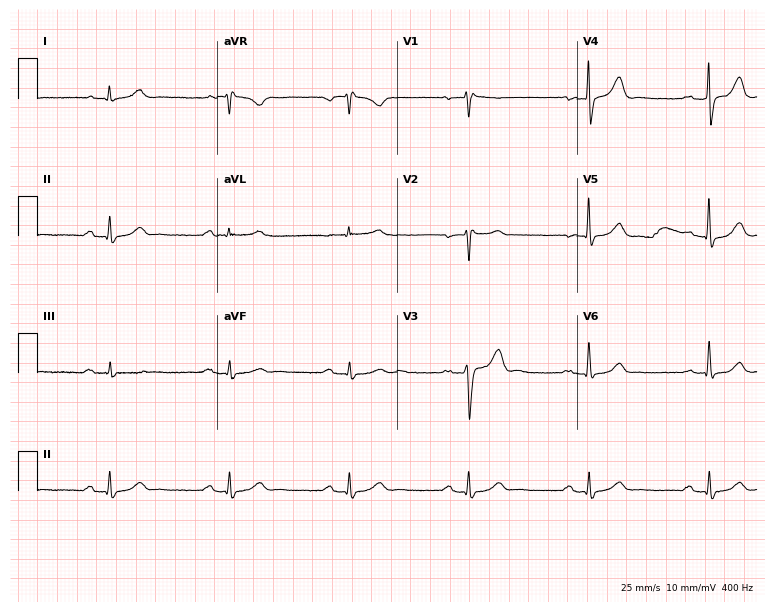
12-lead ECG (7.3-second recording at 400 Hz) from a 61-year-old male. Findings include first-degree AV block, sinus bradycardia (a sinus rate of 50 beats per minute or less).